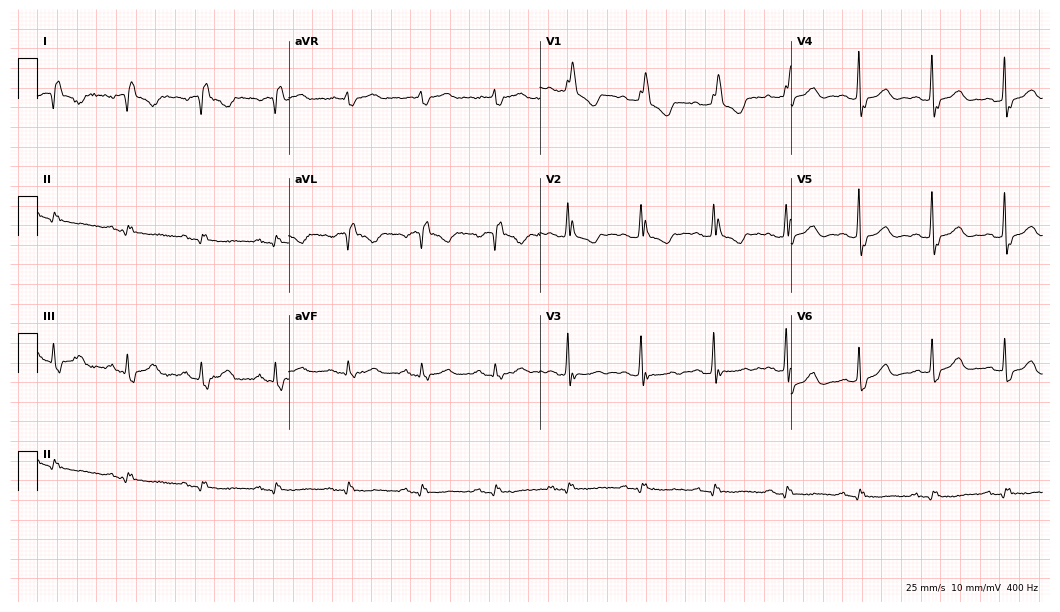
Standard 12-lead ECG recorded from a 63-year-old woman. None of these six findings is recorded: first-degree AV block, right bundle branch block, left bundle branch block, sinus bradycardia, atrial fibrillation, sinus tachycardia. Findings outside these six are not listed.